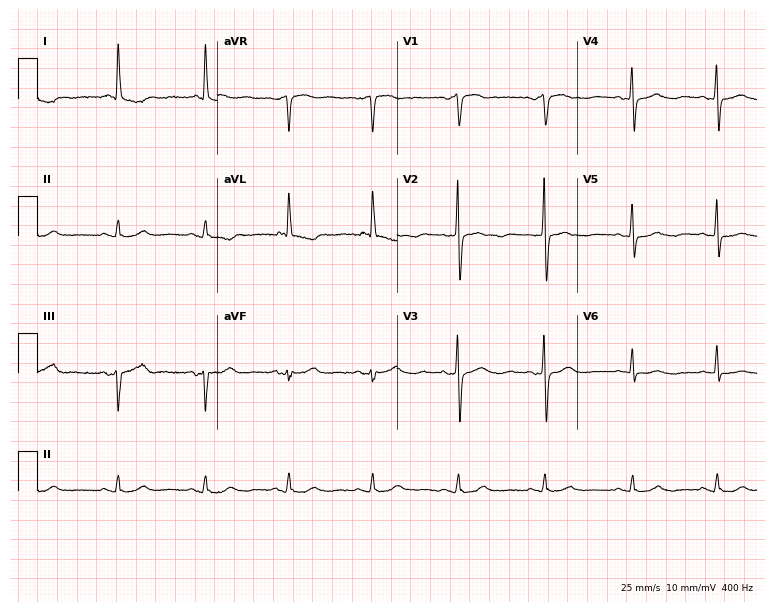
12-lead ECG from a 75-year-old female patient (7.3-second recording at 400 Hz). No first-degree AV block, right bundle branch block (RBBB), left bundle branch block (LBBB), sinus bradycardia, atrial fibrillation (AF) or sinus tachycardia recorded for this tracing.